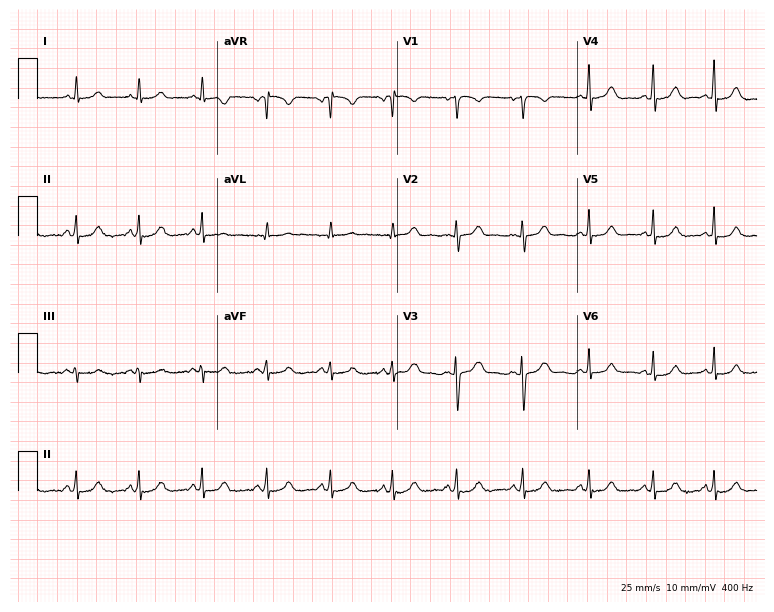
12-lead ECG (7.3-second recording at 400 Hz) from a female patient, 24 years old. Labelled as a normal ECG.